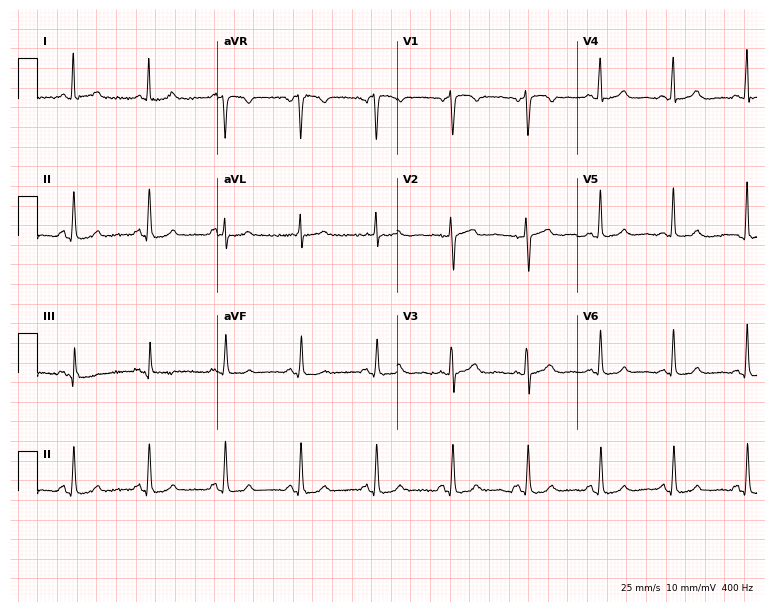
Resting 12-lead electrocardiogram (7.3-second recording at 400 Hz). Patient: a 77-year-old female. Read as a normal ECG.